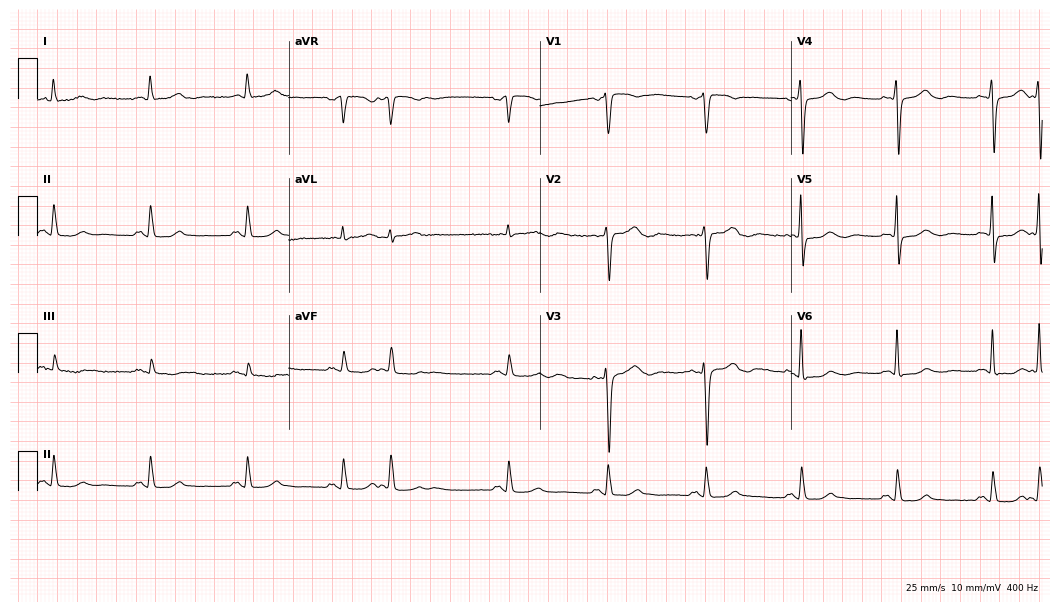
12-lead ECG from a 59-year-old woman. Labelled as a normal ECG.